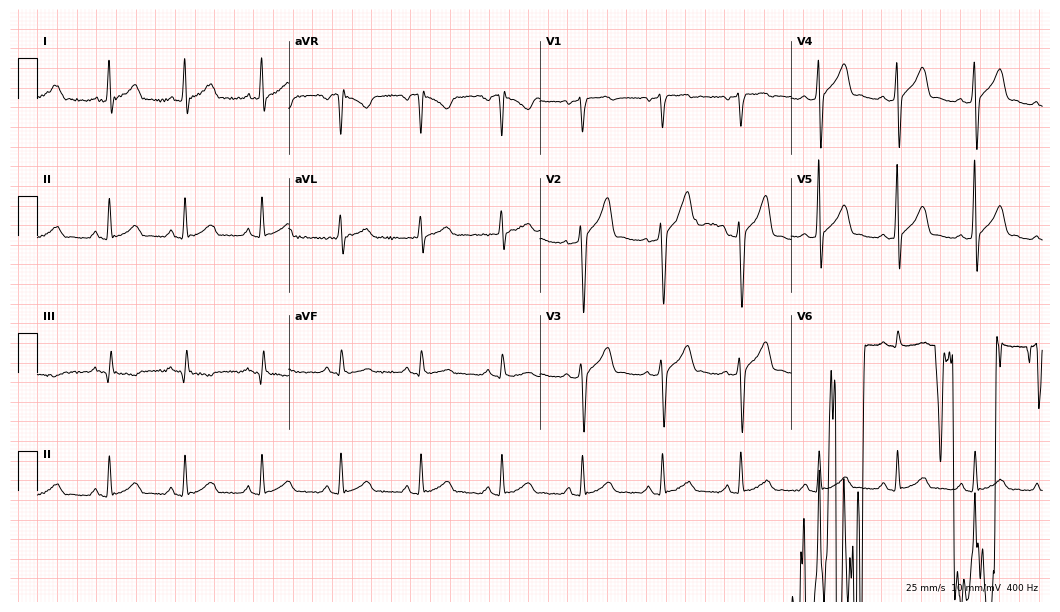
12-lead ECG from a male patient, 46 years old (10.2-second recording at 400 Hz). No first-degree AV block, right bundle branch block, left bundle branch block, sinus bradycardia, atrial fibrillation or sinus tachycardia recorded for this tracing.